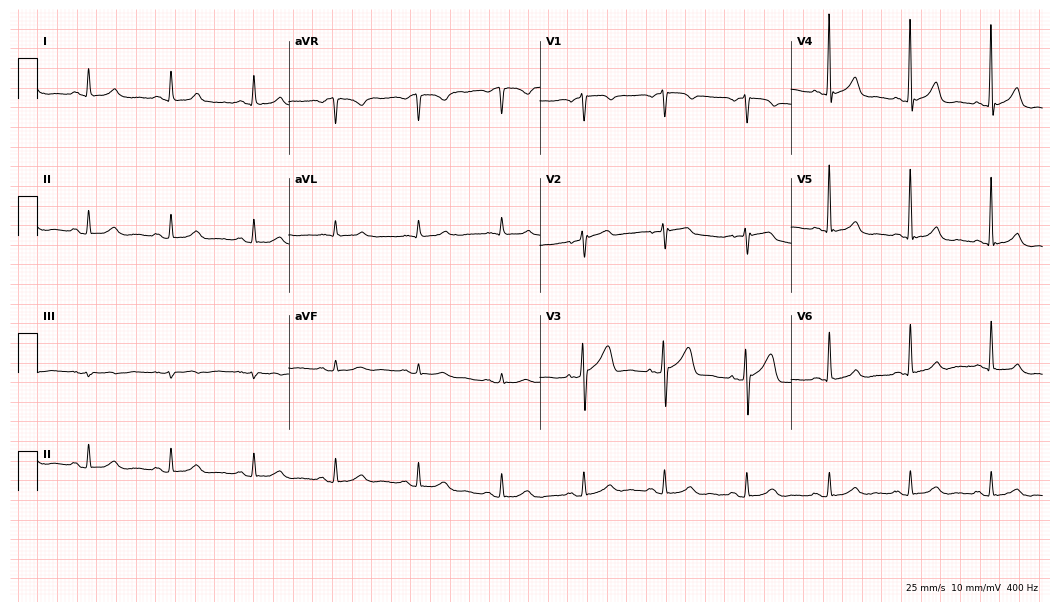
Electrocardiogram, a 54-year-old man. Overall reading on record: normal ECG.